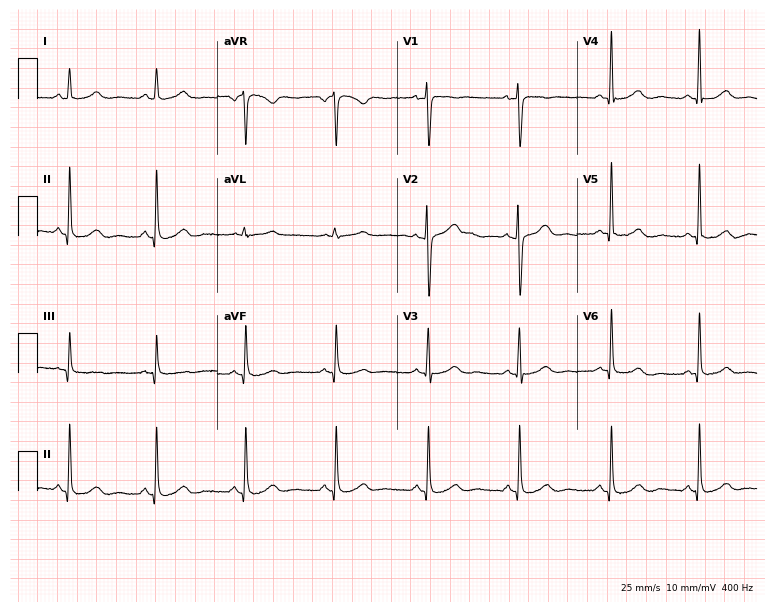
12-lead ECG from a woman, 57 years old. Labelled as a normal ECG.